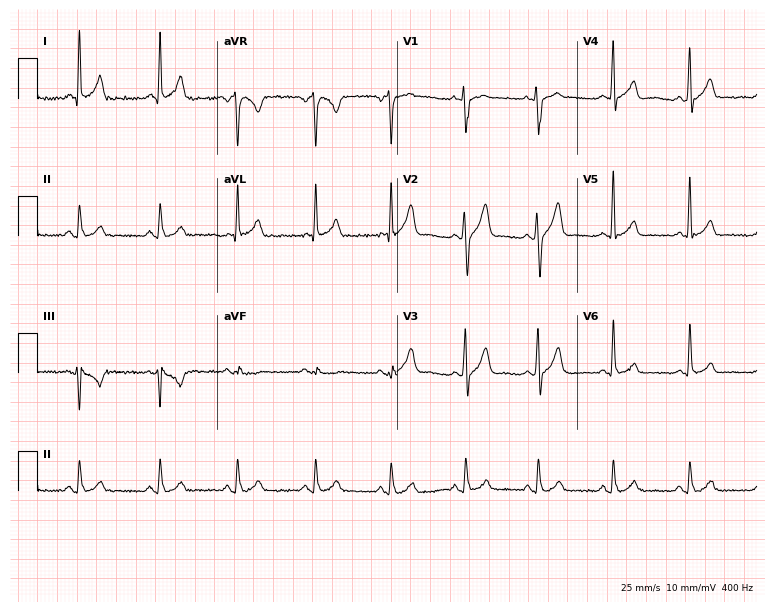
12-lead ECG from a 36-year-old male. No first-degree AV block, right bundle branch block, left bundle branch block, sinus bradycardia, atrial fibrillation or sinus tachycardia recorded for this tracing. Findings outside these six are not listed.